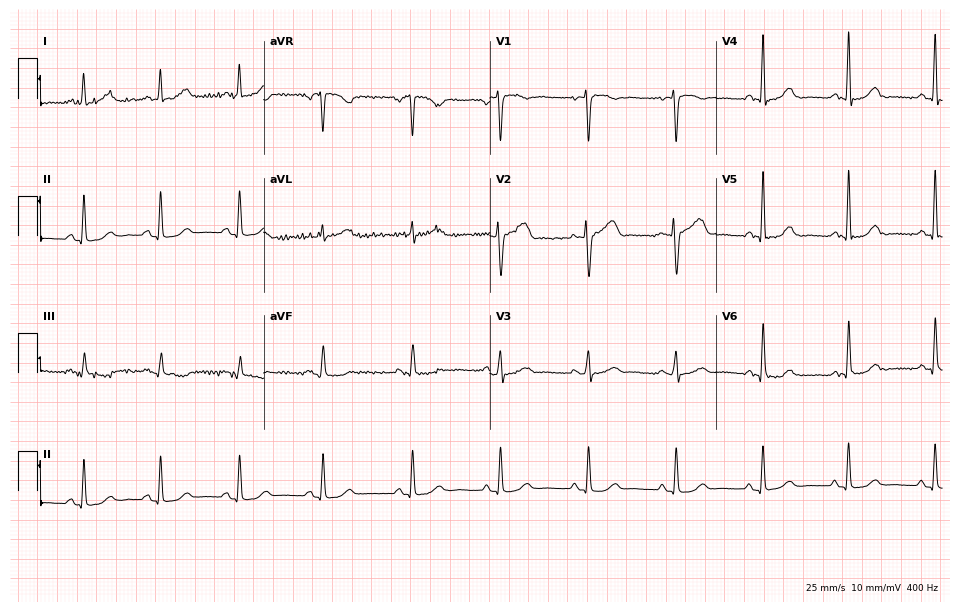
12-lead ECG from a 36-year-old female patient (9.2-second recording at 400 Hz). Recorded interpretation: within normal limits.